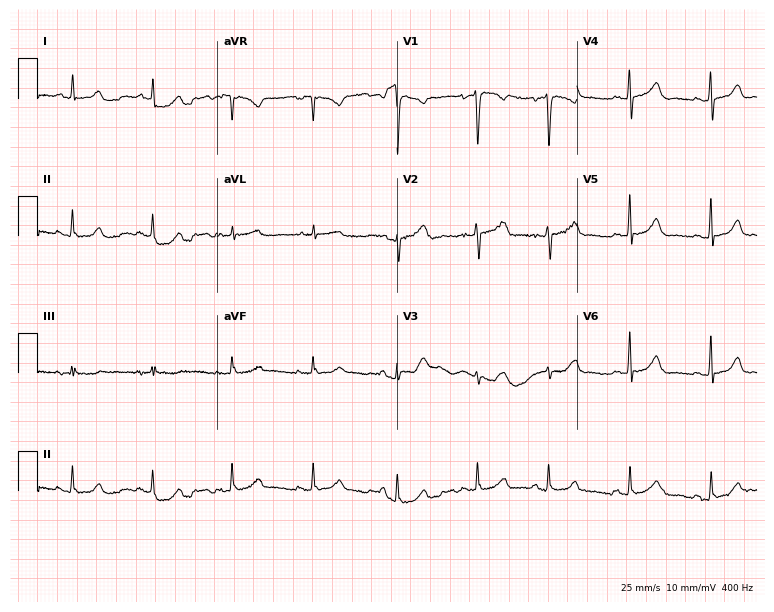
Standard 12-lead ECG recorded from a 36-year-old female (7.3-second recording at 400 Hz). Read as a normal ECG.